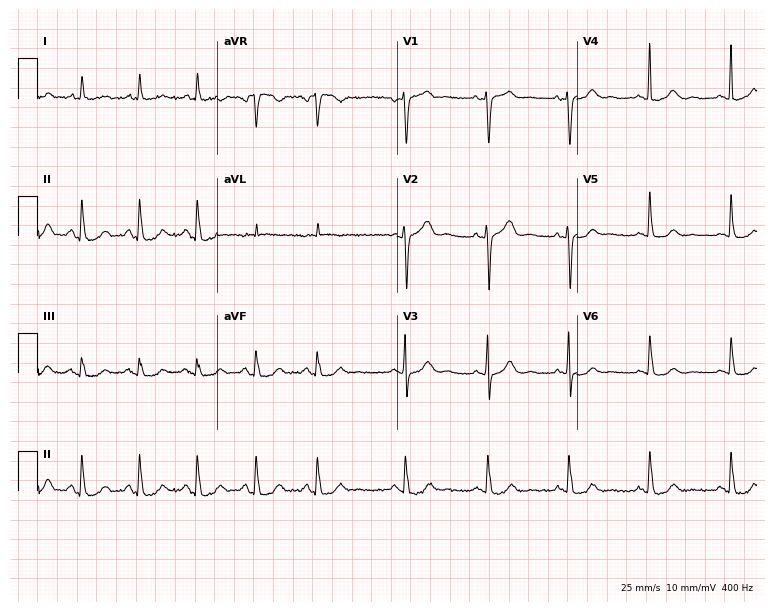
ECG — a female, 54 years old. Screened for six findings — first-degree AV block, right bundle branch block, left bundle branch block, sinus bradycardia, atrial fibrillation, sinus tachycardia — none is recorded.